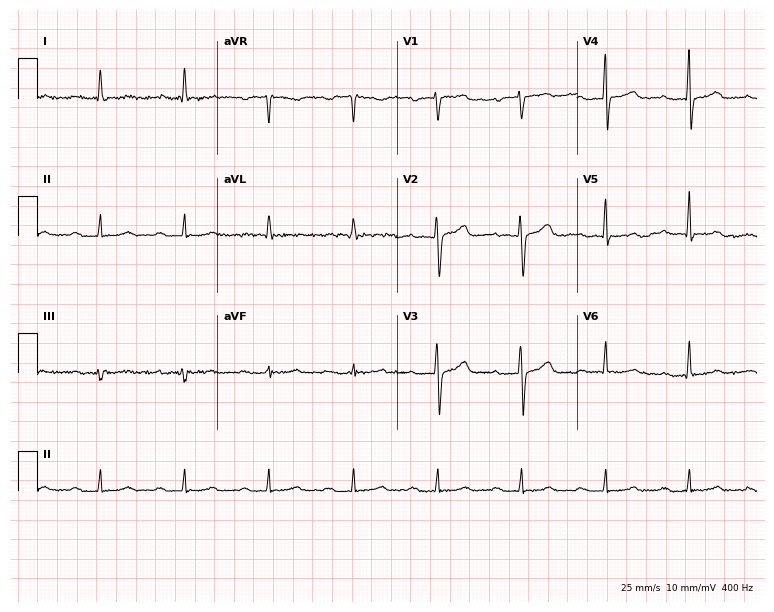
12-lead ECG from an 83-year-old male (7.3-second recording at 400 Hz). No first-degree AV block, right bundle branch block (RBBB), left bundle branch block (LBBB), sinus bradycardia, atrial fibrillation (AF) or sinus tachycardia recorded for this tracing. Other findings, if any, are not listed.